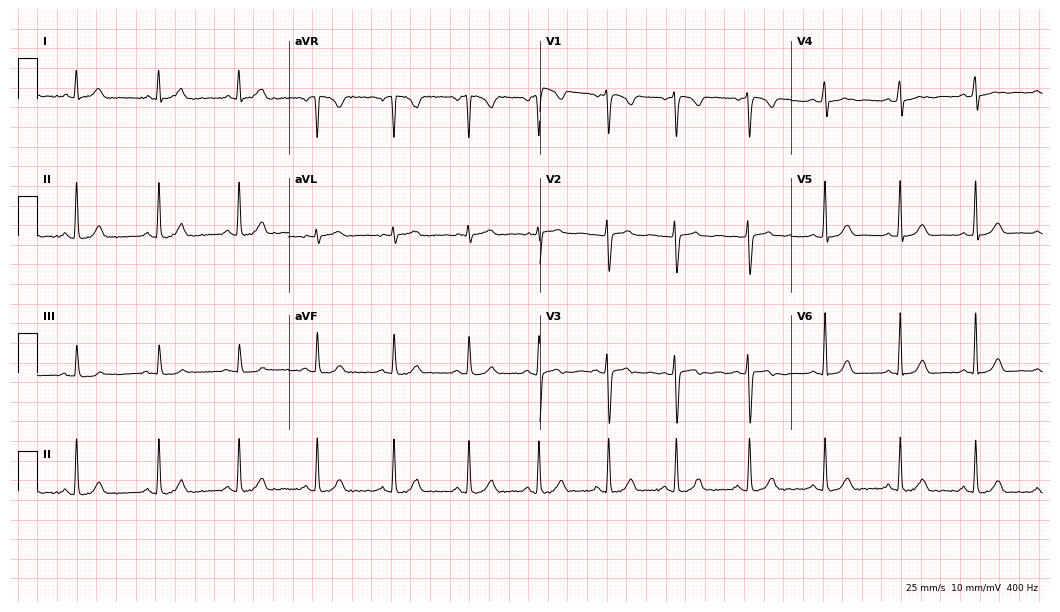
12-lead ECG from a 37-year-old woman. Recorded interpretation: within normal limits.